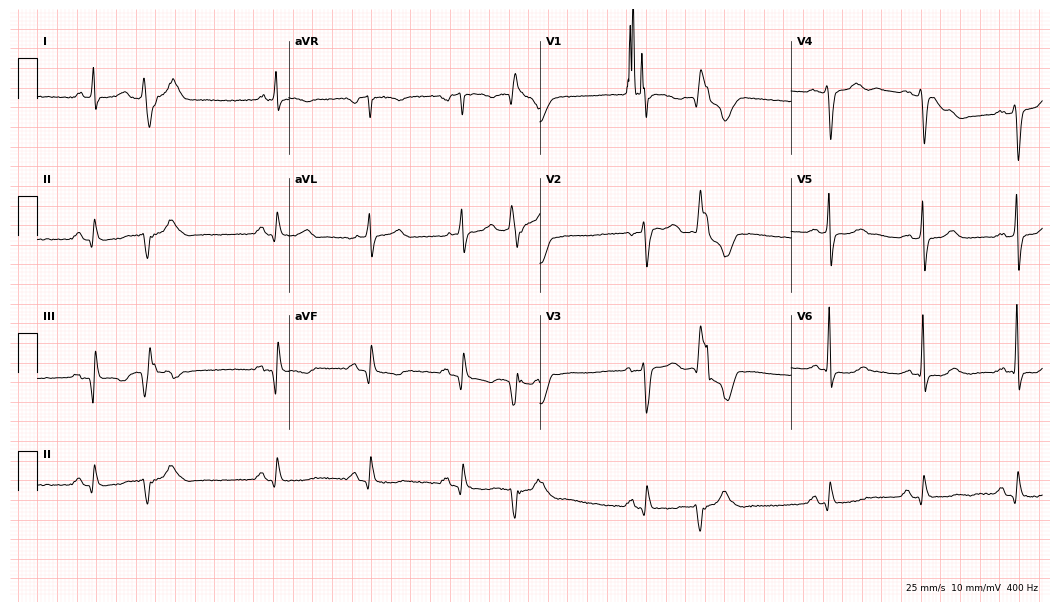
12-lead ECG from a male, 64 years old. No first-degree AV block, right bundle branch block, left bundle branch block, sinus bradycardia, atrial fibrillation or sinus tachycardia recorded for this tracing.